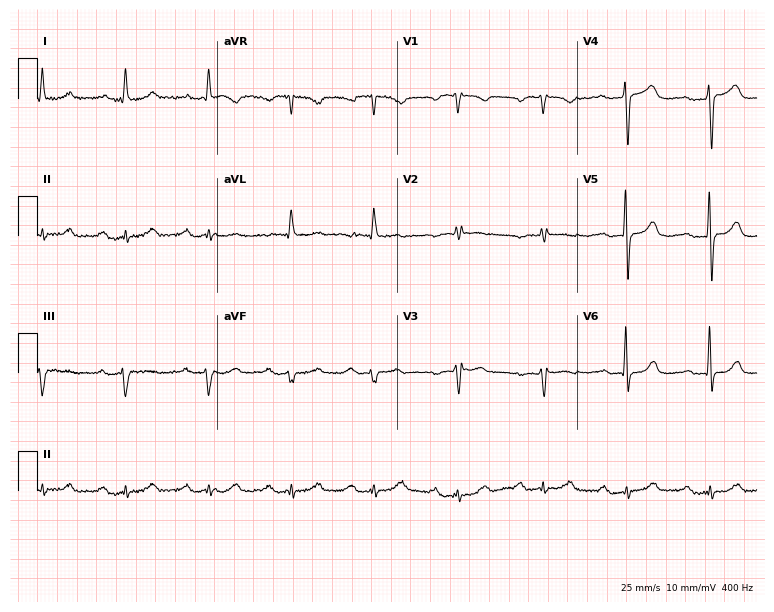
ECG (7.3-second recording at 400 Hz) — an 80-year-old female. Findings include first-degree AV block.